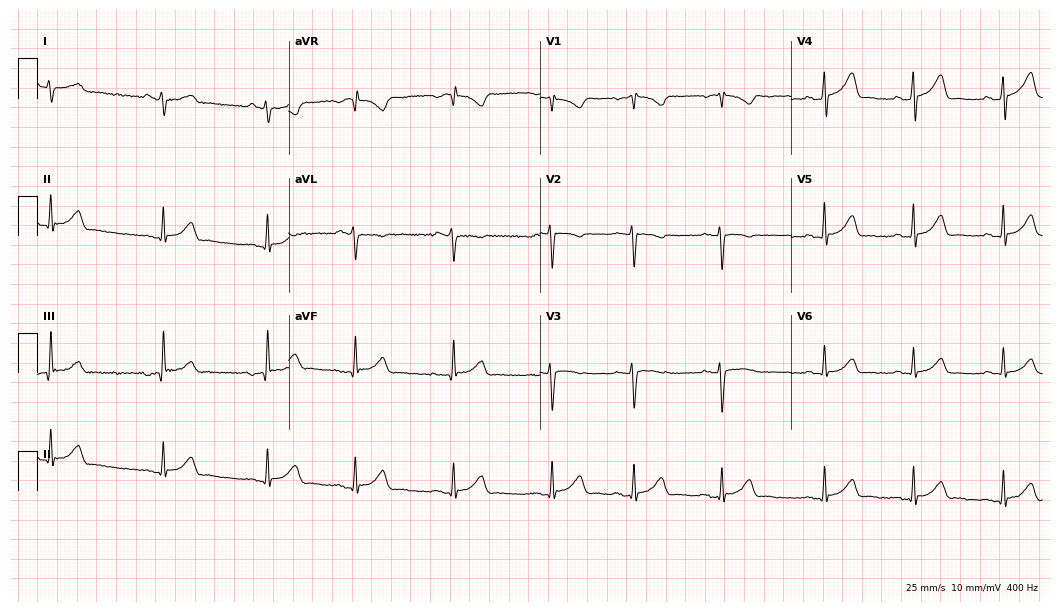
Resting 12-lead electrocardiogram (10.2-second recording at 400 Hz). Patient: a 24-year-old woman. Read as a normal ECG.